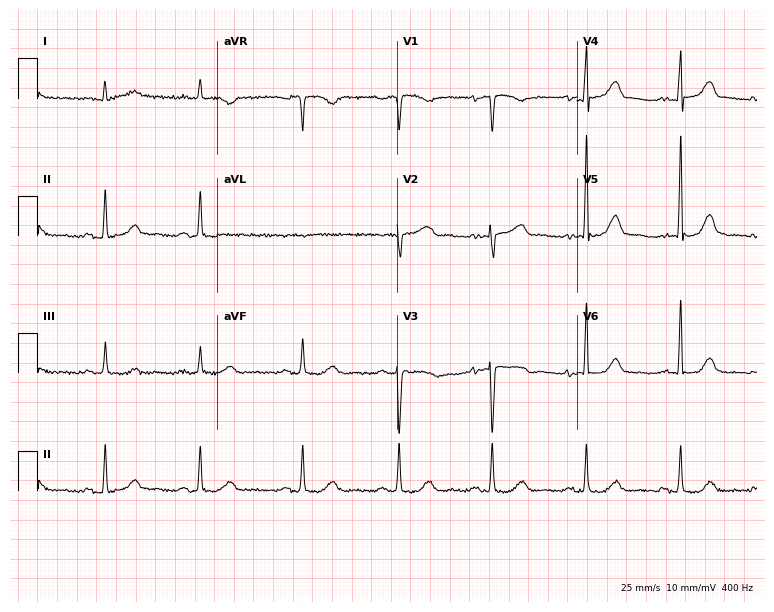
Electrocardiogram, a female patient, 81 years old. Overall reading on record: normal ECG.